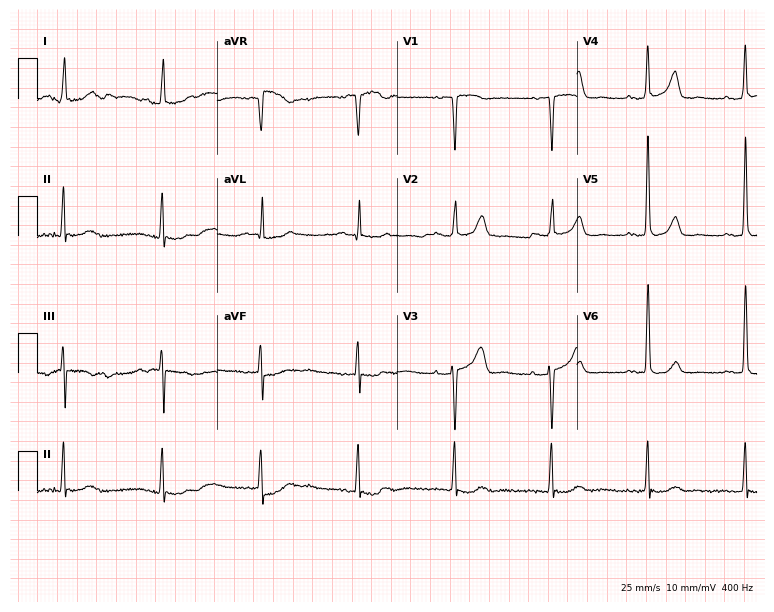
12-lead ECG from a female patient, 81 years old. Screened for six findings — first-degree AV block, right bundle branch block (RBBB), left bundle branch block (LBBB), sinus bradycardia, atrial fibrillation (AF), sinus tachycardia — none is recorded.